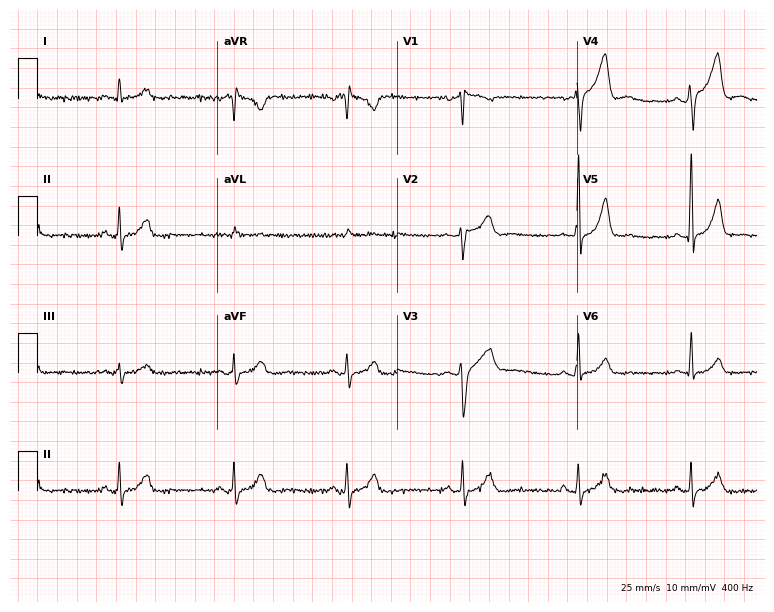
12-lead ECG from a male, 53 years old (7.3-second recording at 400 Hz). No first-degree AV block, right bundle branch block (RBBB), left bundle branch block (LBBB), sinus bradycardia, atrial fibrillation (AF) or sinus tachycardia recorded for this tracing. Other findings, if any, are not listed.